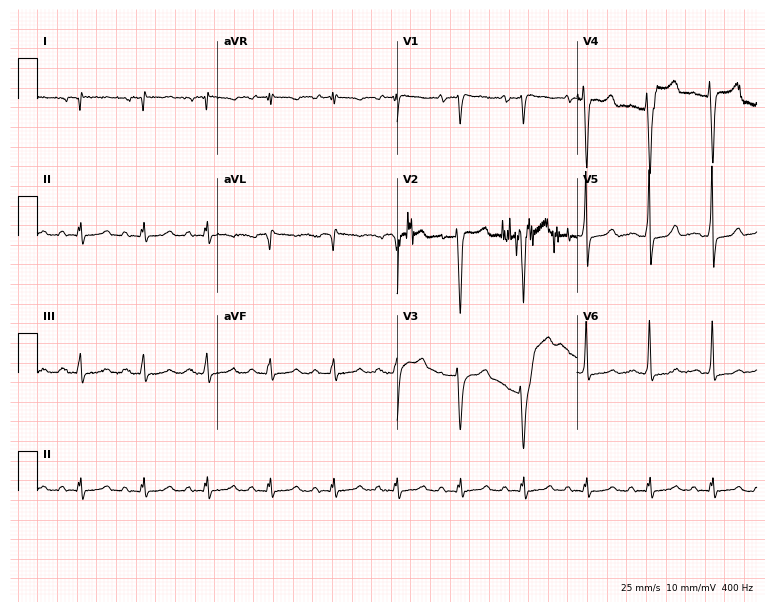
Standard 12-lead ECG recorded from a woman, 18 years old. None of these six findings is recorded: first-degree AV block, right bundle branch block, left bundle branch block, sinus bradycardia, atrial fibrillation, sinus tachycardia.